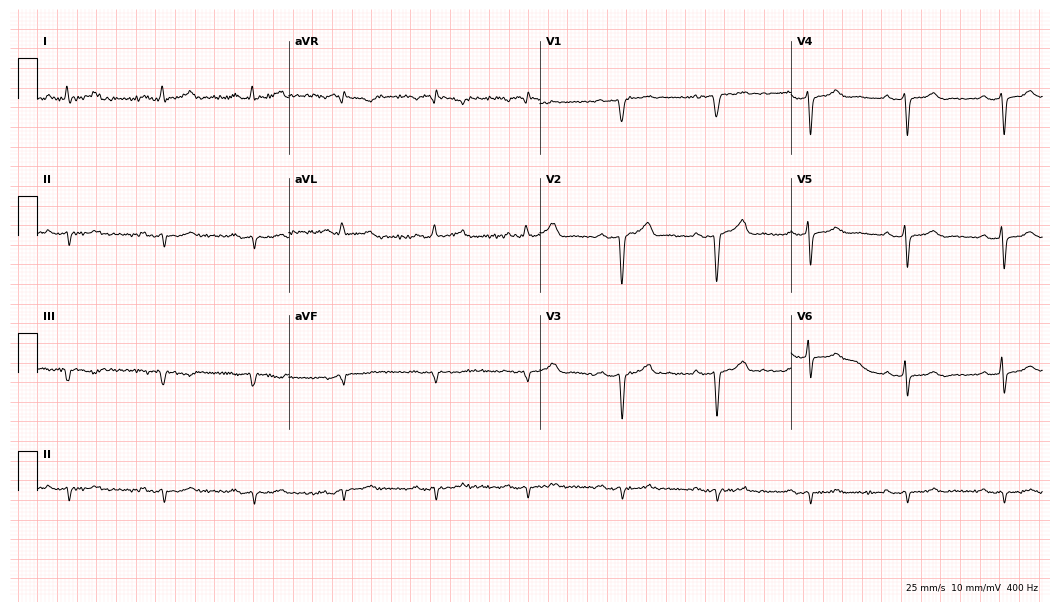
Standard 12-lead ECG recorded from a male patient, 60 years old (10.2-second recording at 400 Hz). None of these six findings is recorded: first-degree AV block, right bundle branch block, left bundle branch block, sinus bradycardia, atrial fibrillation, sinus tachycardia.